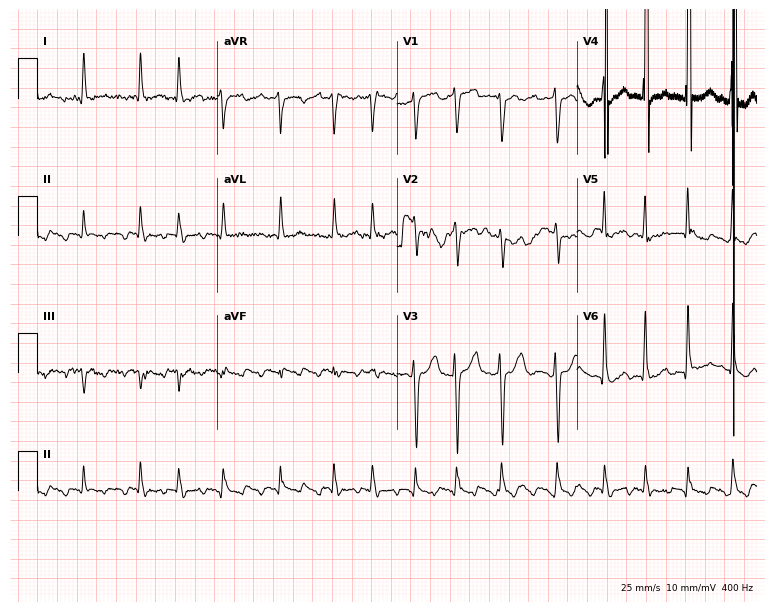
Standard 12-lead ECG recorded from a 69-year-old male. The tracing shows atrial fibrillation.